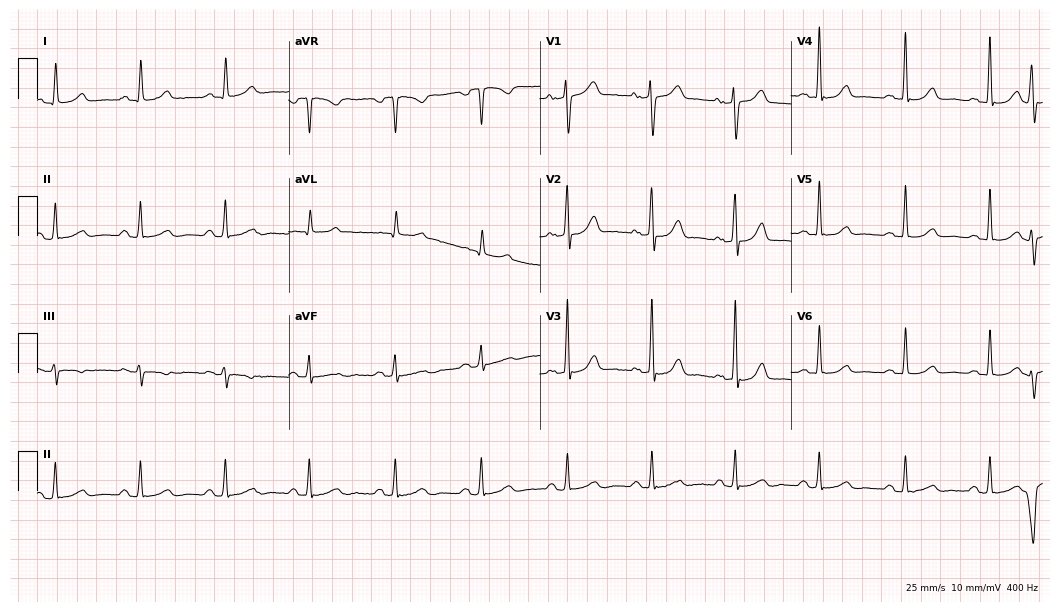
ECG — a 58-year-old woman. Screened for six findings — first-degree AV block, right bundle branch block (RBBB), left bundle branch block (LBBB), sinus bradycardia, atrial fibrillation (AF), sinus tachycardia — none is recorded. Other findings, if any, are not listed.